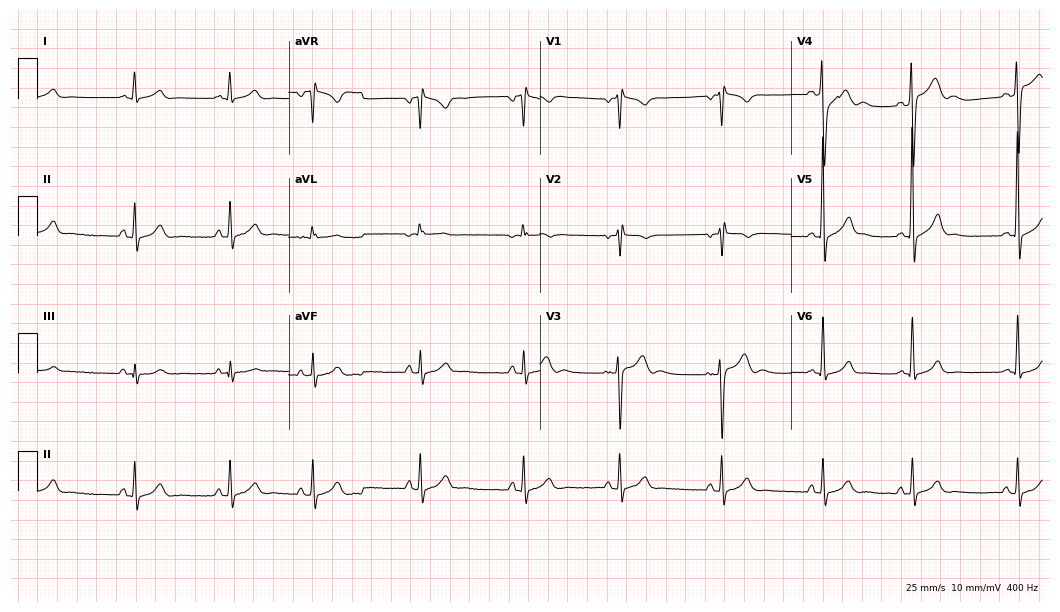
Electrocardiogram (10.2-second recording at 400 Hz), an 18-year-old male. Of the six screened findings (first-degree AV block, right bundle branch block, left bundle branch block, sinus bradycardia, atrial fibrillation, sinus tachycardia), none is recorded.